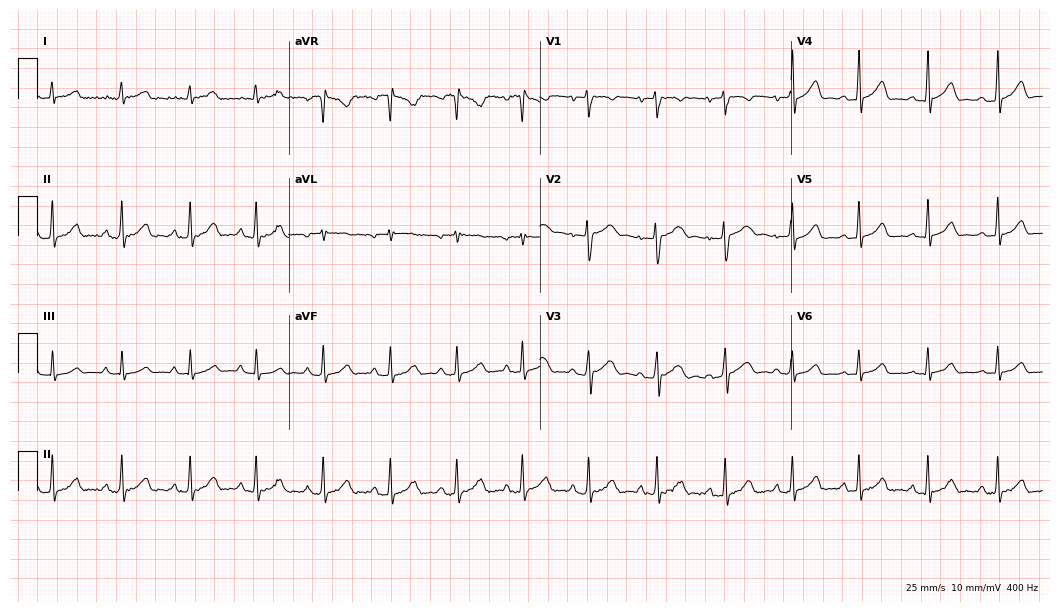
12-lead ECG (10.2-second recording at 400 Hz) from a 19-year-old woman. Labelled as a normal ECG.